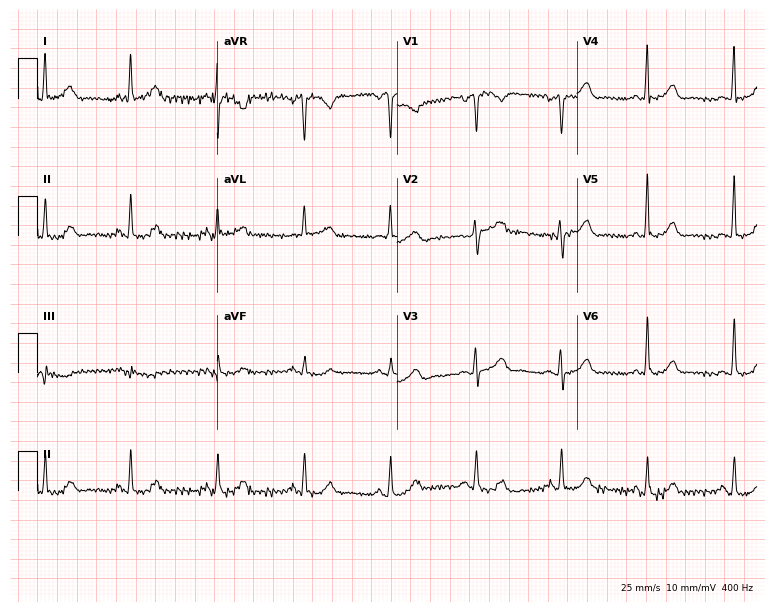
12-lead ECG from a female, 67 years old. Labelled as a normal ECG.